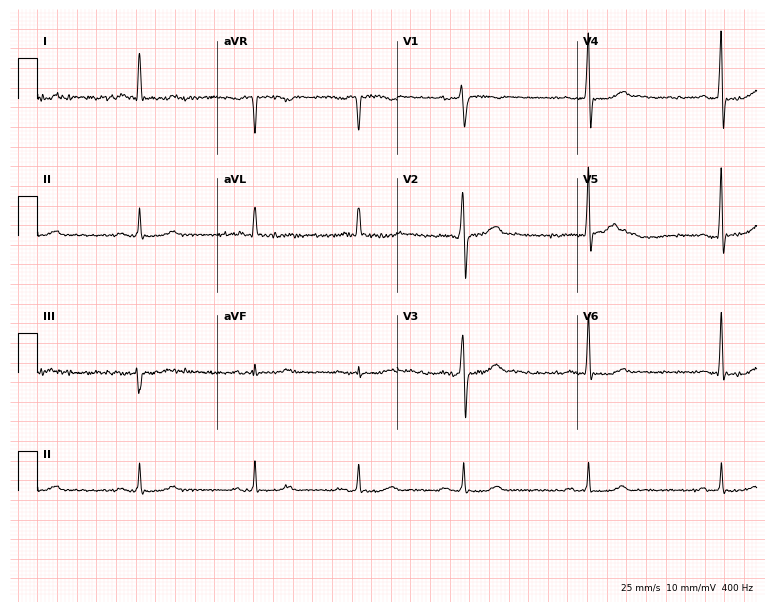
Electrocardiogram, a 52-year-old man. Interpretation includes sinus bradycardia (a sinus rate of 50 beats per minute or less).